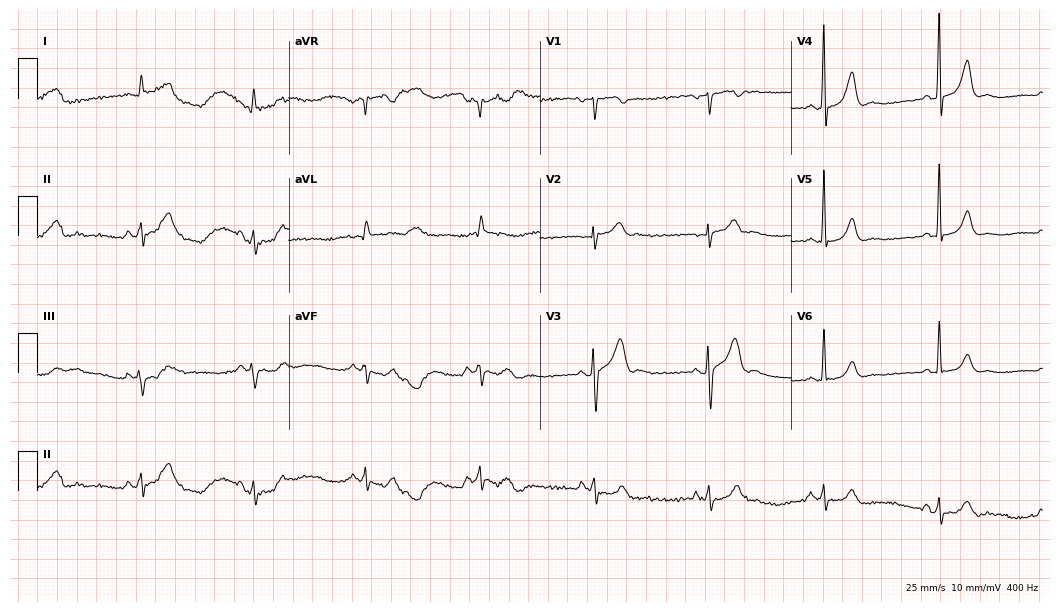
Electrocardiogram (10.2-second recording at 400 Hz), a 55-year-old man. Overall reading on record: normal ECG.